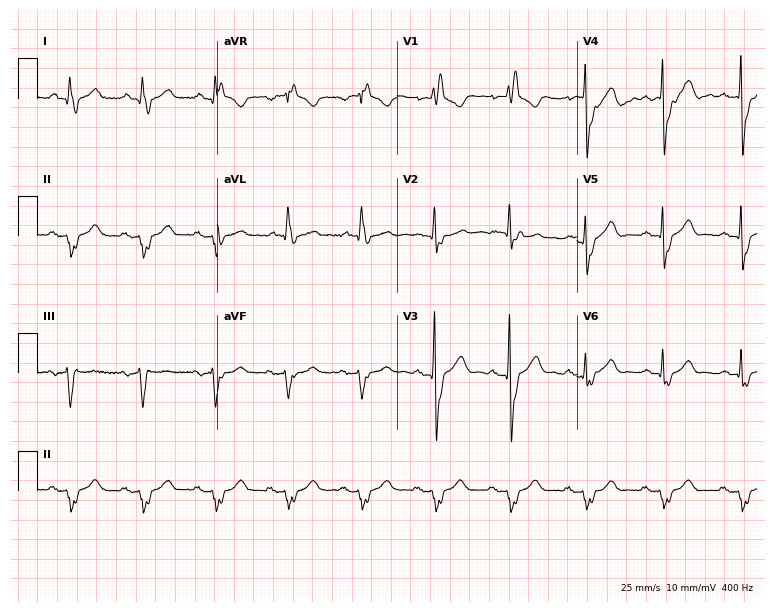
12-lead ECG from a 64-year-old male patient (7.3-second recording at 400 Hz). Shows right bundle branch block.